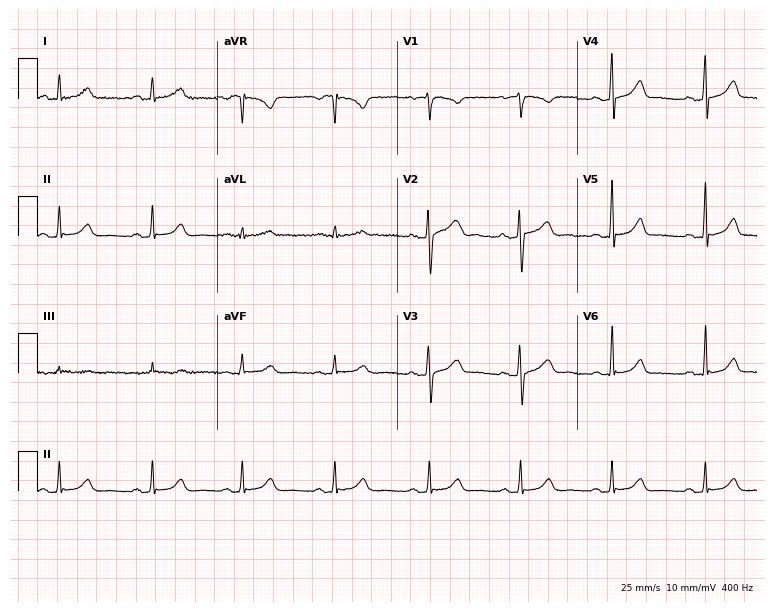
Electrocardiogram (7.3-second recording at 400 Hz), a female patient, 45 years old. Overall reading on record: normal ECG.